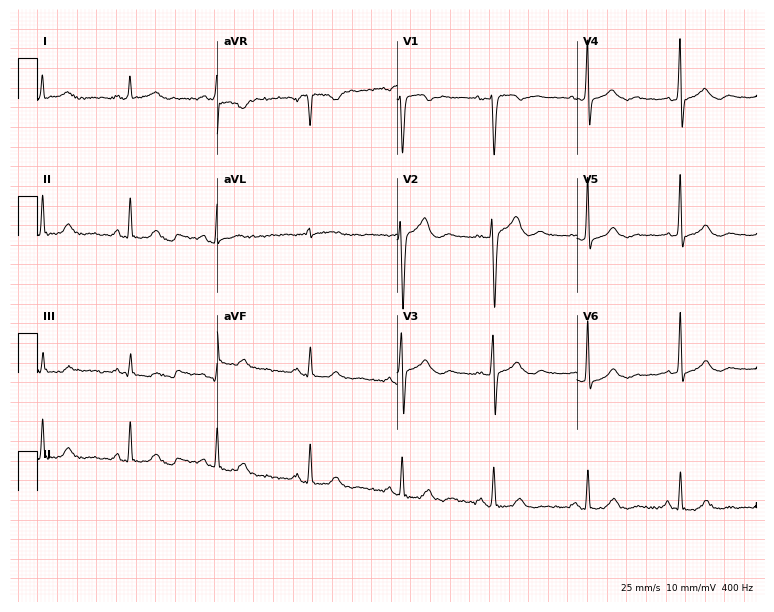
Resting 12-lead electrocardiogram. Patient: a 39-year-old man. None of these six findings is recorded: first-degree AV block, right bundle branch block, left bundle branch block, sinus bradycardia, atrial fibrillation, sinus tachycardia. Other findings, if any, are not listed.